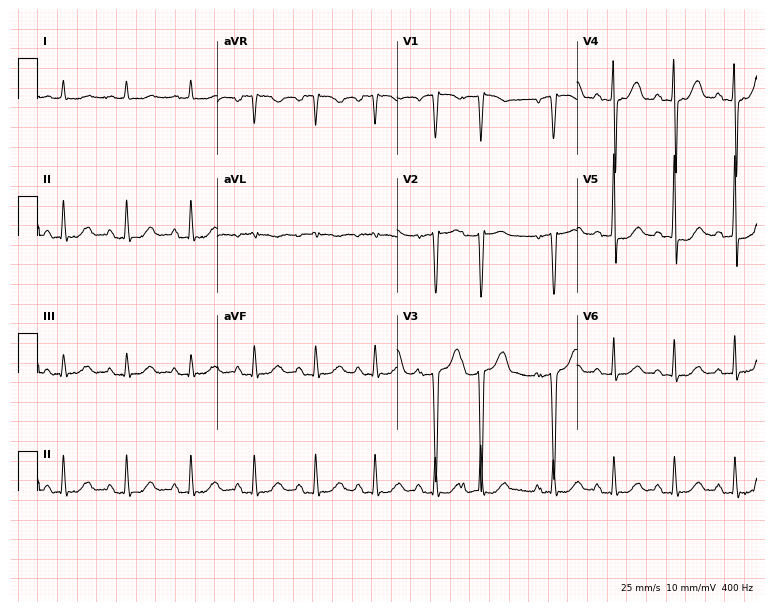
Electrocardiogram, a woman, 80 years old. Of the six screened findings (first-degree AV block, right bundle branch block (RBBB), left bundle branch block (LBBB), sinus bradycardia, atrial fibrillation (AF), sinus tachycardia), none is recorded. Only these six findings were labelled.